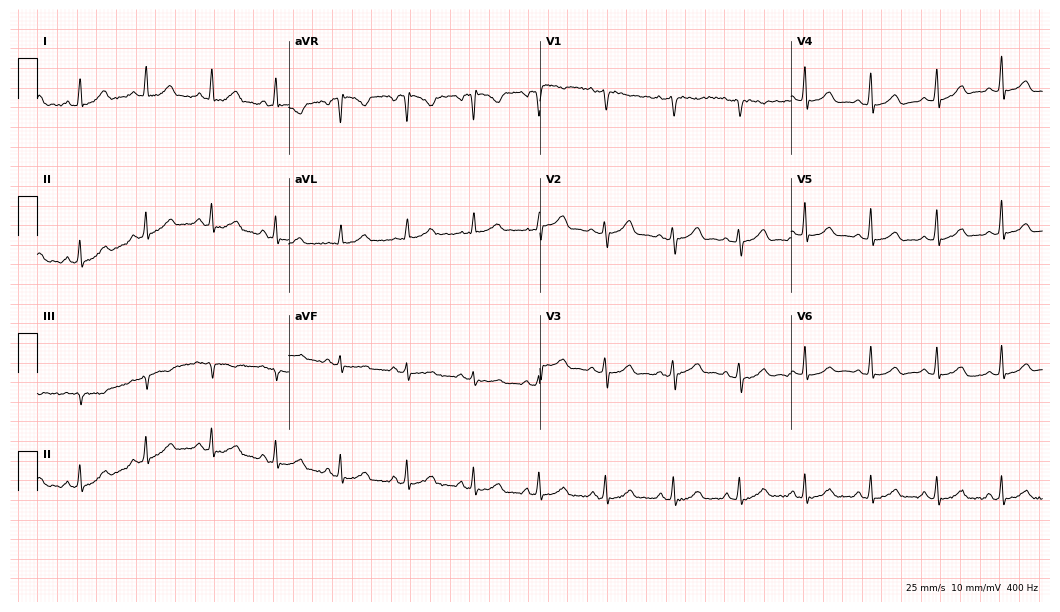
Resting 12-lead electrocardiogram. Patient: a woman, 30 years old. Read as a normal ECG.